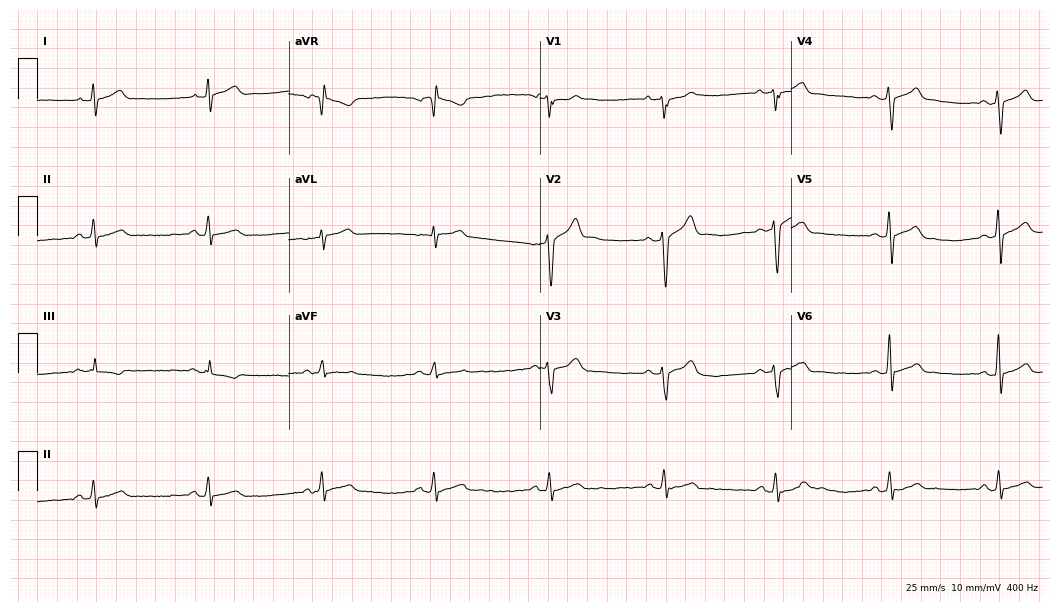
Standard 12-lead ECG recorded from a man, 32 years old. Read as a normal ECG.